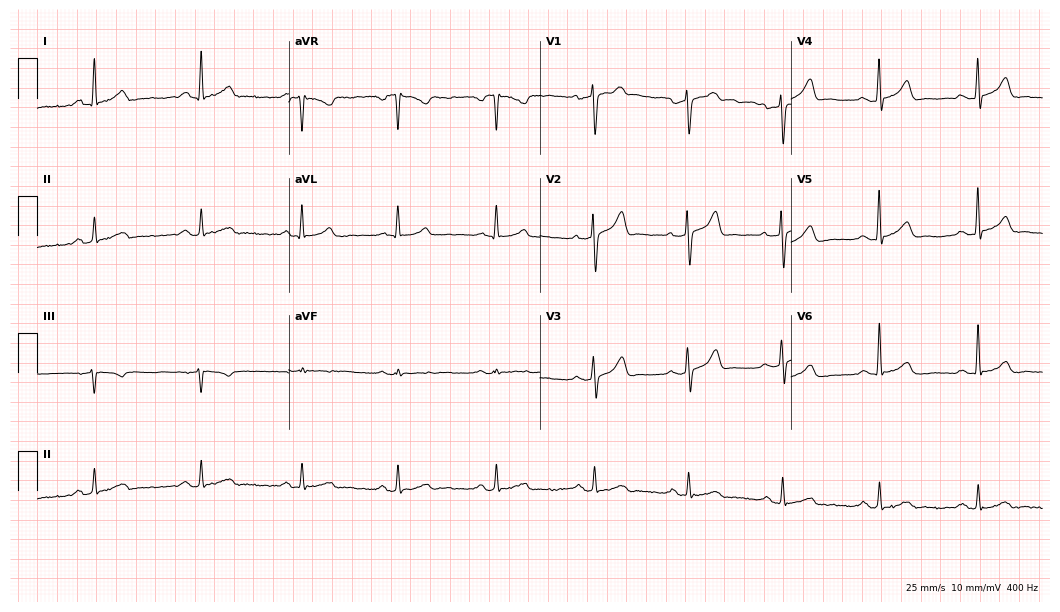
12-lead ECG from a male, 50 years old. Recorded interpretation: within normal limits.